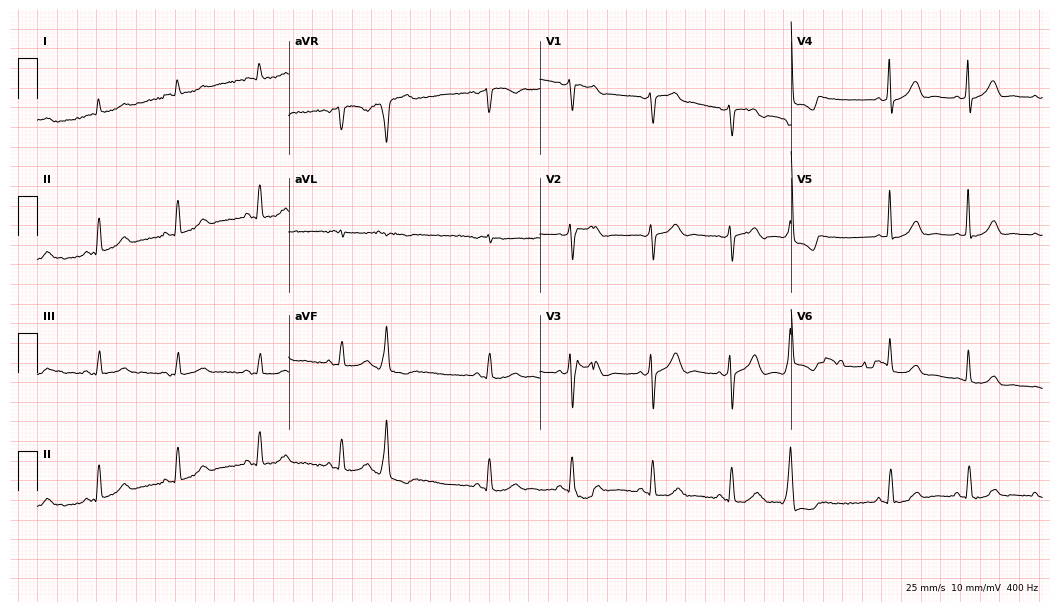
Standard 12-lead ECG recorded from a 77-year-old male patient (10.2-second recording at 400 Hz). None of these six findings is recorded: first-degree AV block, right bundle branch block (RBBB), left bundle branch block (LBBB), sinus bradycardia, atrial fibrillation (AF), sinus tachycardia.